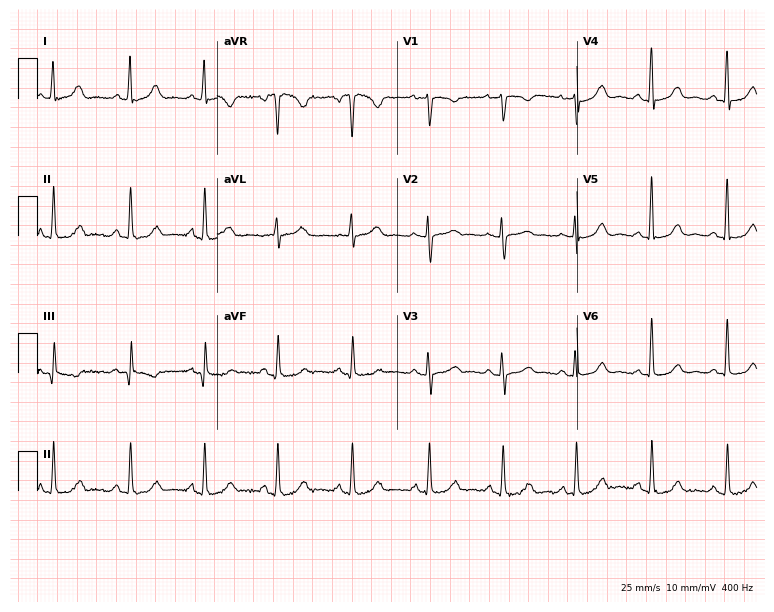
12-lead ECG from a woman, 53 years old (7.3-second recording at 400 Hz). Recorded interpretation: within normal limits.